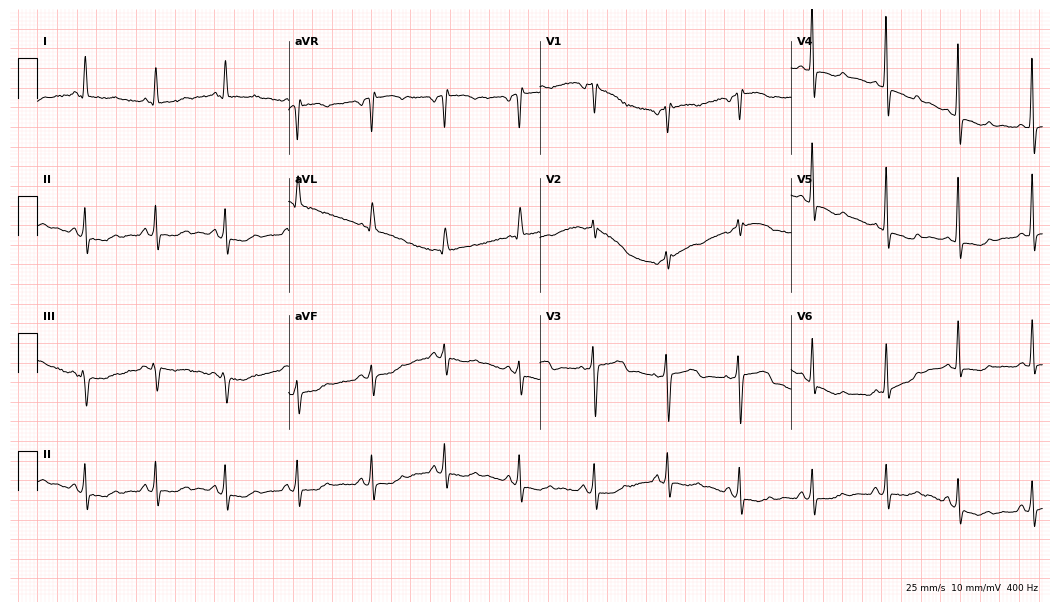
12-lead ECG (10.2-second recording at 400 Hz) from a woman, 67 years old. Screened for six findings — first-degree AV block, right bundle branch block, left bundle branch block, sinus bradycardia, atrial fibrillation, sinus tachycardia — none is recorded.